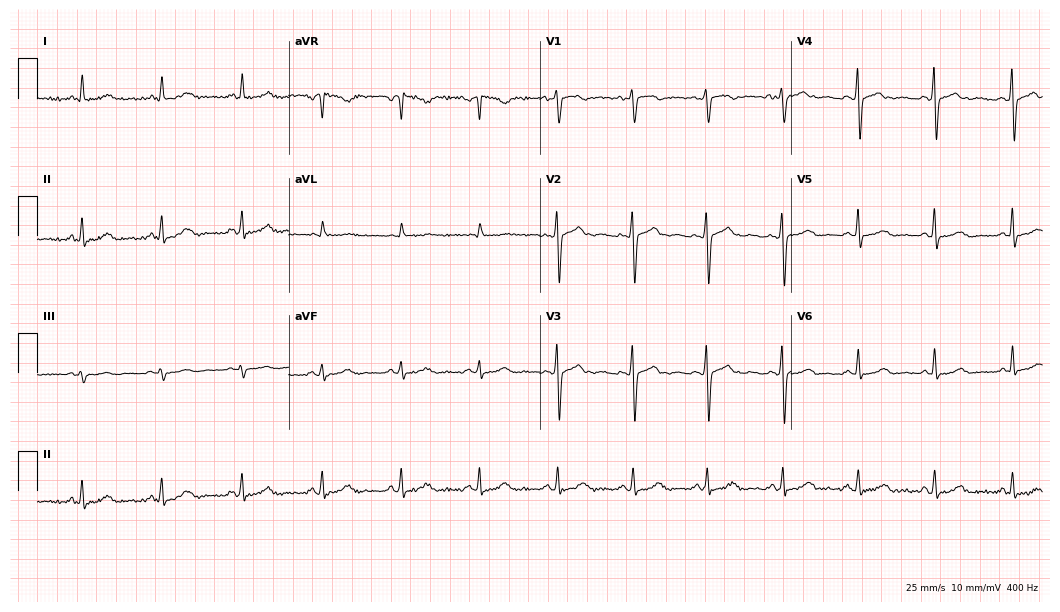
12-lead ECG from a female, 43 years old (10.2-second recording at 400 Hz). No first-degree AV block, right bundle branch block (RBBB), left bundle branch block (LBBB), sinus bradycardia, atrial fibrillation (AF) or sinus tachycardia recorded for this tracing.